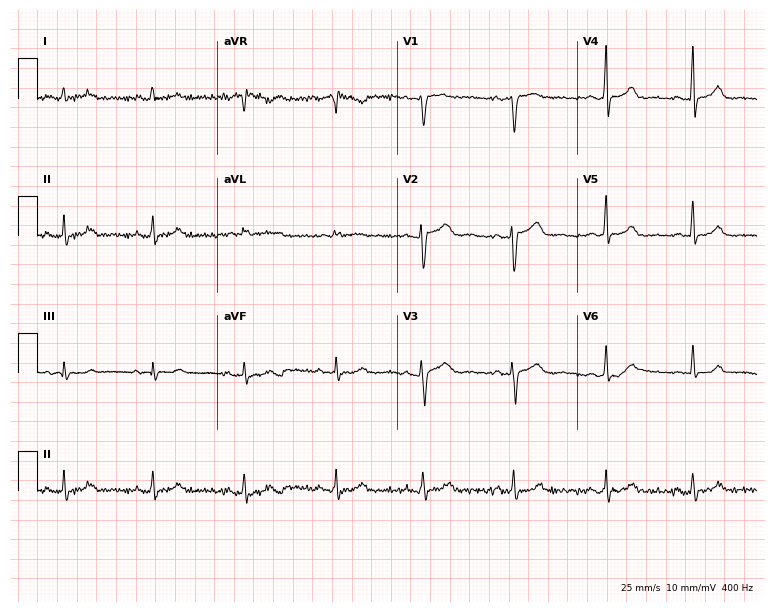
12-lead ECG (7.3-second recording at 400 Hz) from a female patient, 38 years old. Labelled as a normal ECG.